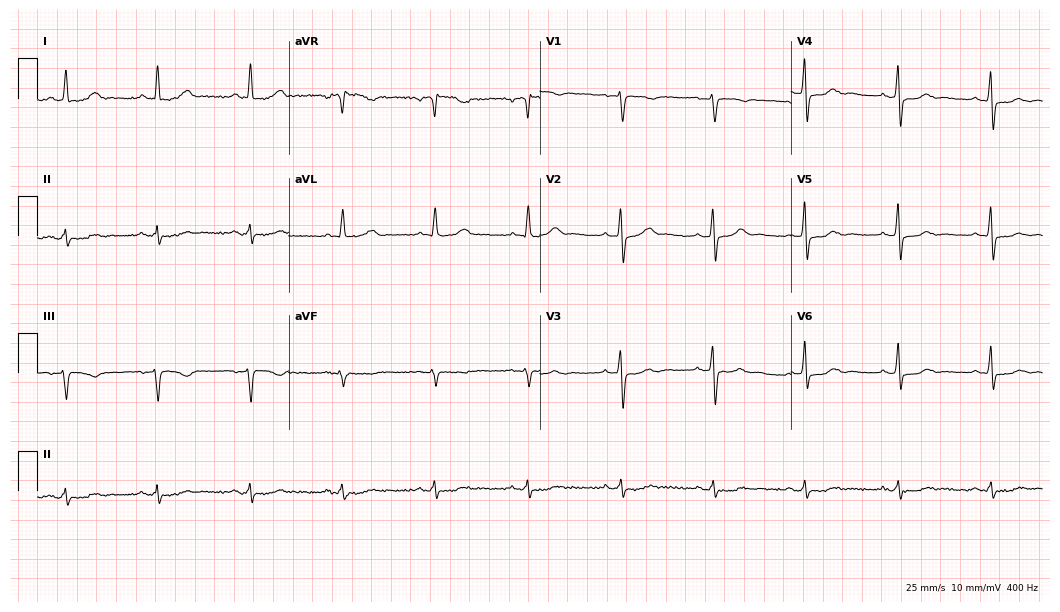
Electrocardiogram (10.2-second recording at 400 Hz), a woman, 59 years old. Overall reading on record: normal ECG.